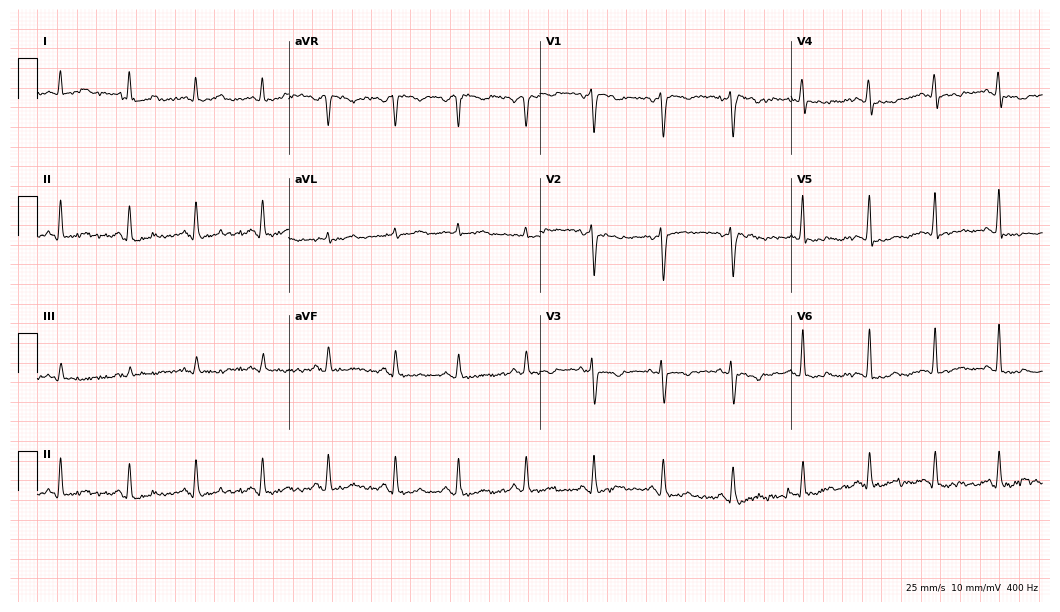
Electrocardiogram (10.2-second recording at 400 Hz), a female, 46 years old. Of the six screened findings (first-degree AV block, right bundle branch block (RBBB), left bundle branch block (LBBB), sinus bradycardia, atrial fibrillation (AF), sinus tachycardia), none is recorded.